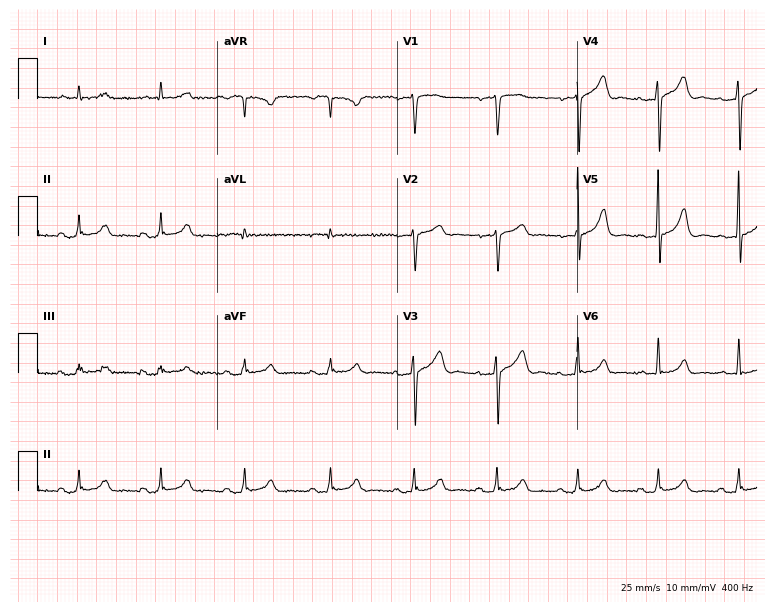
Resting 12-lead electrocardiogram. Patient: a 56-year-old male. Read as a normal ECG.